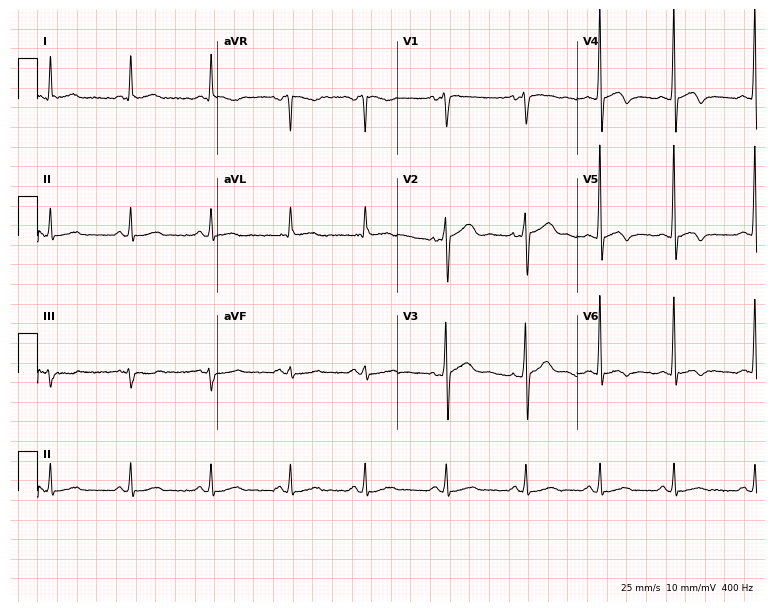
ECG (7.3-second recording at 400 Hz) — a male, 68 years old. Labelled as a normal ECG.